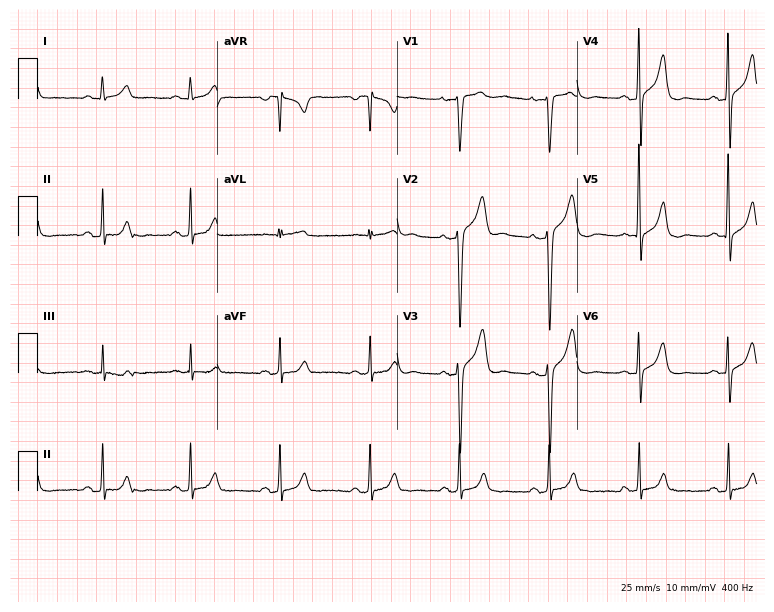
Resting 12-lead electrocardiogram. Patient: a 34-year-old man. Read as a normal ECG.